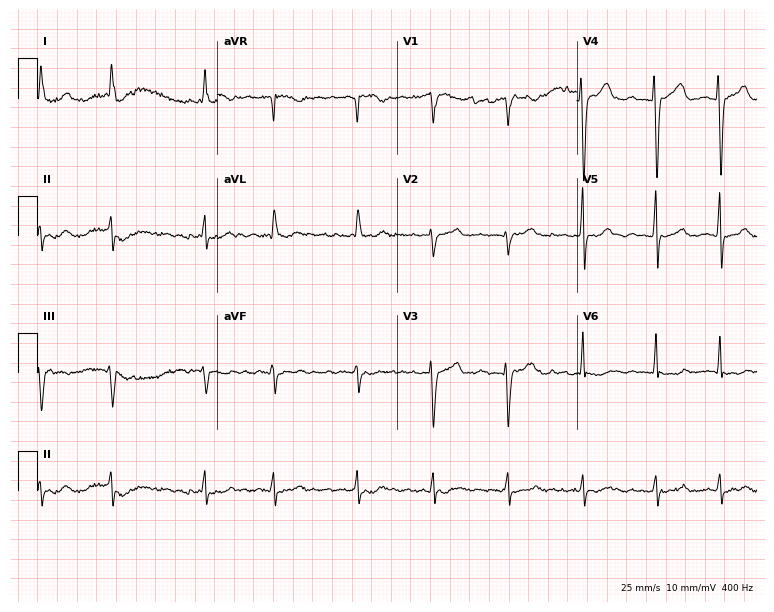
Resting 12-lead electrocardiogram. Patient: an 80-year-old female. The tracing shows atrial fibrillation.